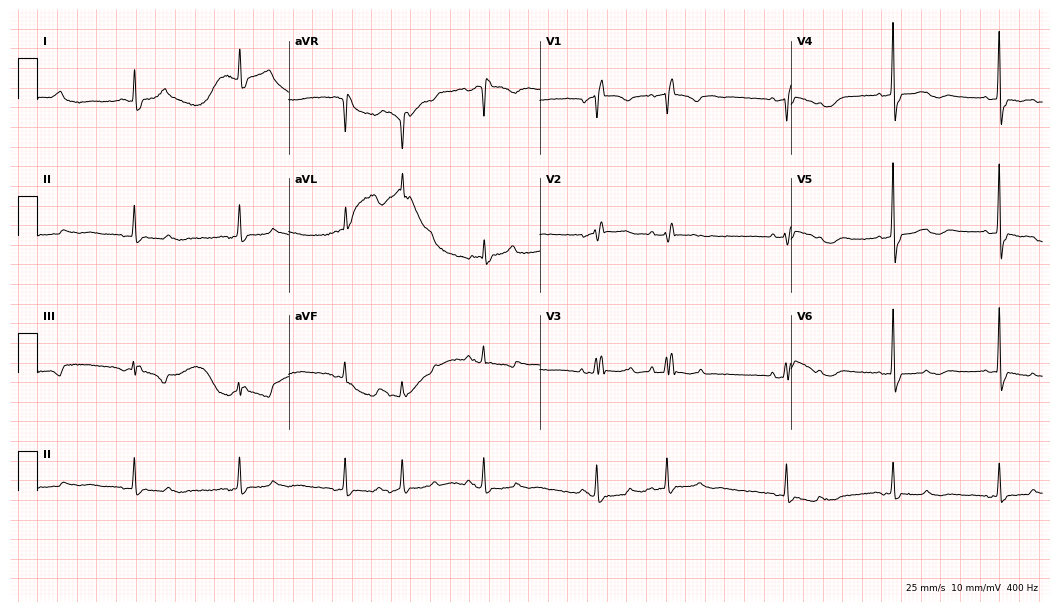
12-lead ECG from an 88-year-old female patient. No first-degree AV block, right bundle branch block, left bundle branch block, sinus bradycardia, atrial fibrillation or sinus tachycardia recorded for this tracing.